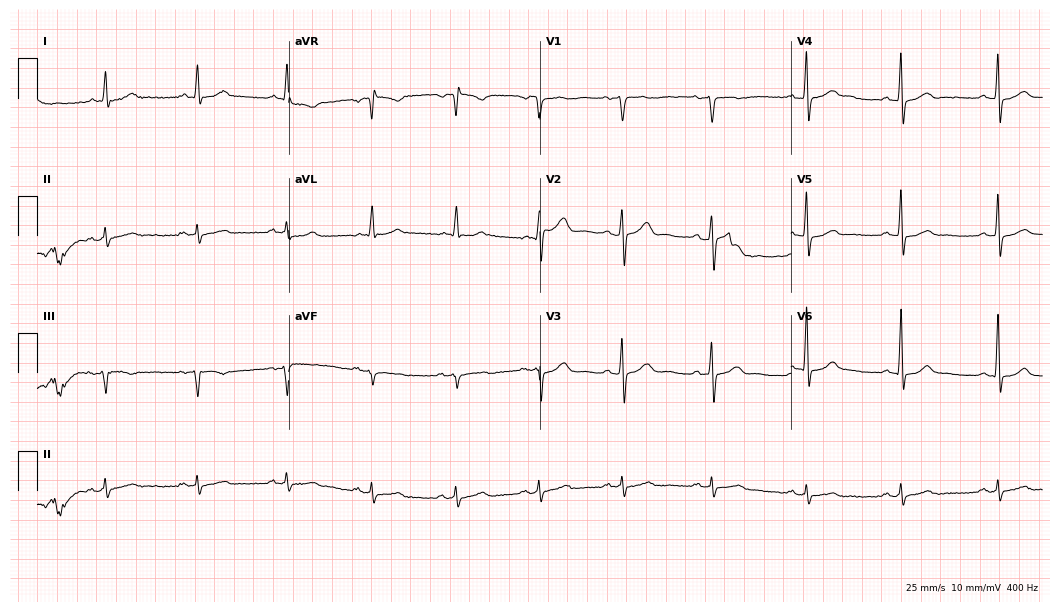
Resting 12-lead electrocardiogram (10.2-second recording at 400 Hz). Patient: a male, 51 years old. None of these six findings is recorded: first-degree AV block, right bundle branch block, left bundle branch block, sinus bradycardia, atrial fibrillation, sinus tachycardia. Only these six findings were labelled.